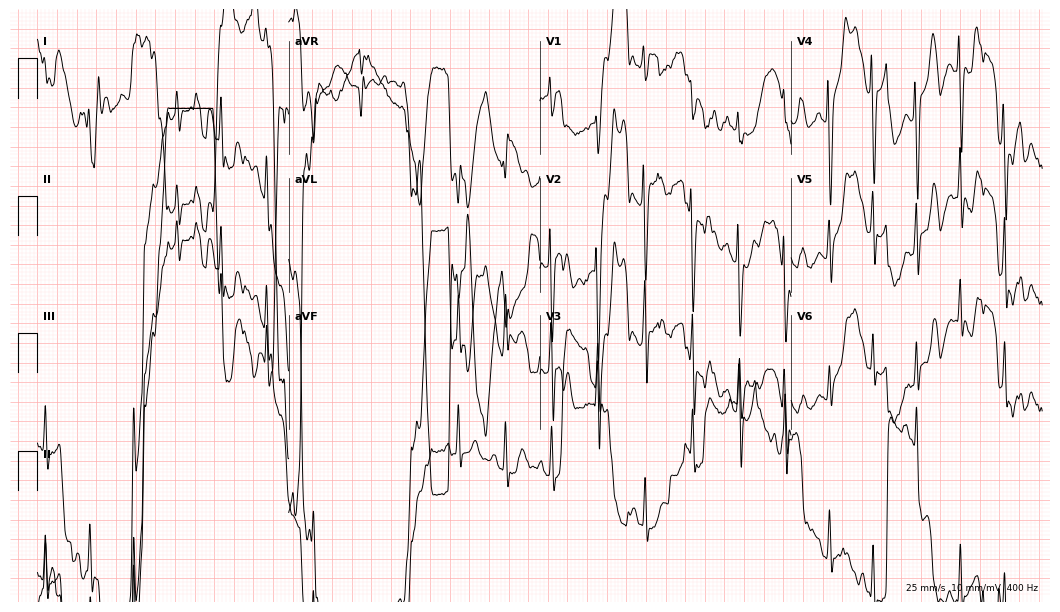
12-lead ECG from a 17-year-old male. No first-degree AV block, right bundle branch block, left bundle branch block, sinus bradycardia, atrial fibrillation or sinus tachycardia recorded for this tracing.